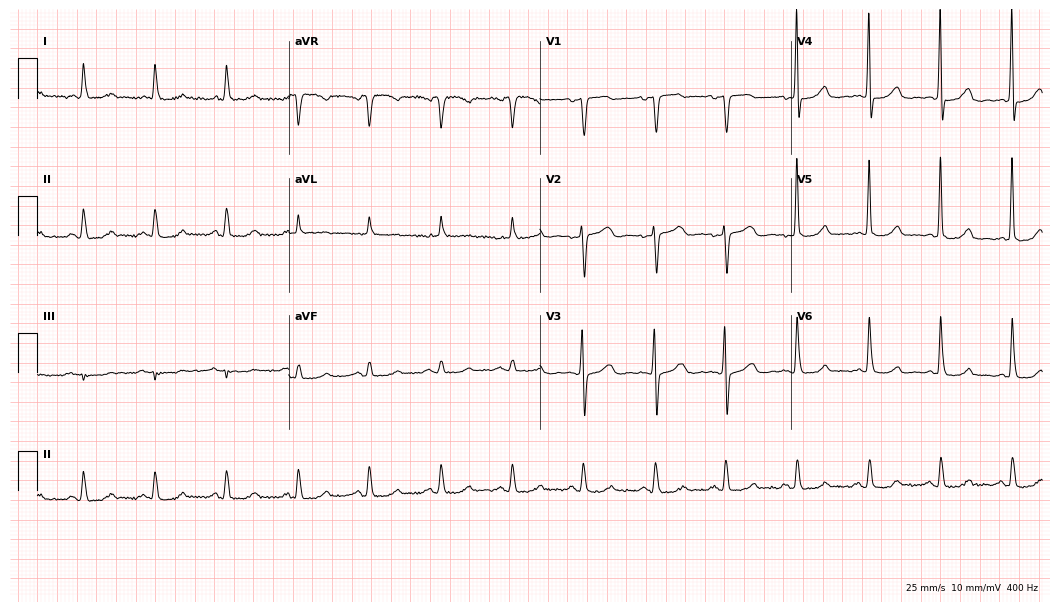
12-lead ECG from an 85-year-old female. Screened for six findings — first-degree AV block, right bundle branch block (RBBB), left bundle branch block (LBBB), sinus bradycardia, atrial fibrillation (AF), sinus tachycardia — none is recorded.